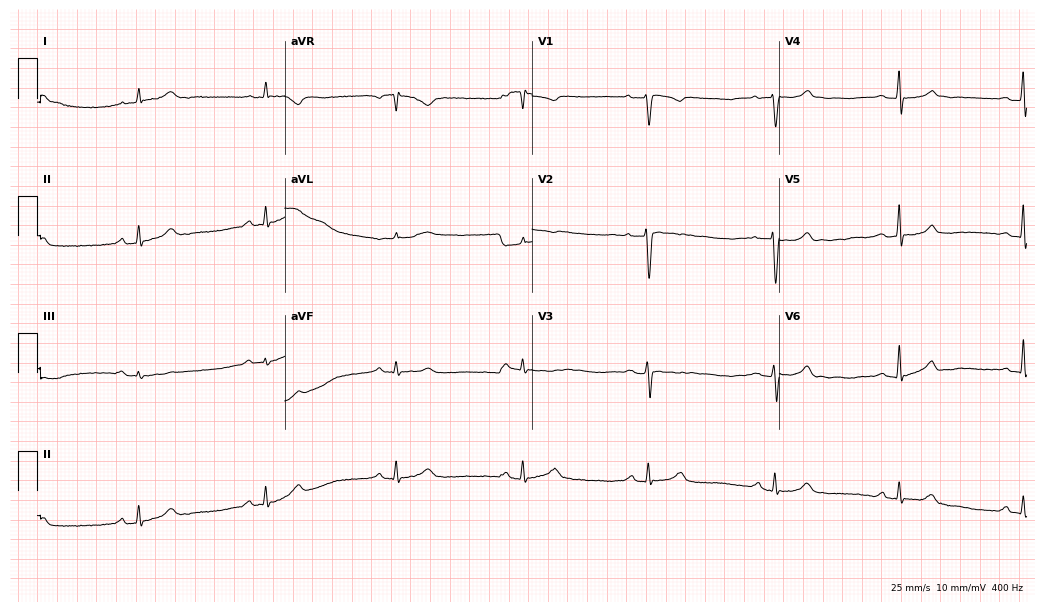
Electrocardiogram (10.1-second recording at 400 Hz), a 77-year-old female patient. Interpretation includes sinus bradycardia (a sinus rate of 50 beats per minute or less).